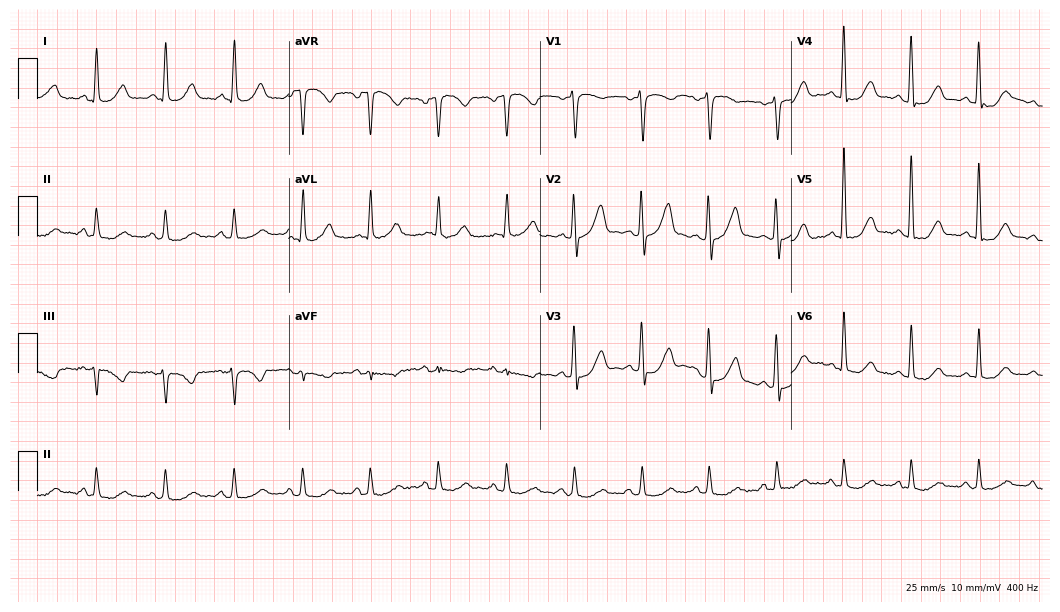
ECG — a male patient, 68 years old. Screened for six findings — first-degree AV block, right bundle branch block (RBBB), left bundle branch block (LBBB), sinus bradycardia, atrial fibrillation (AF), sinus tachycardia — none is recorded.